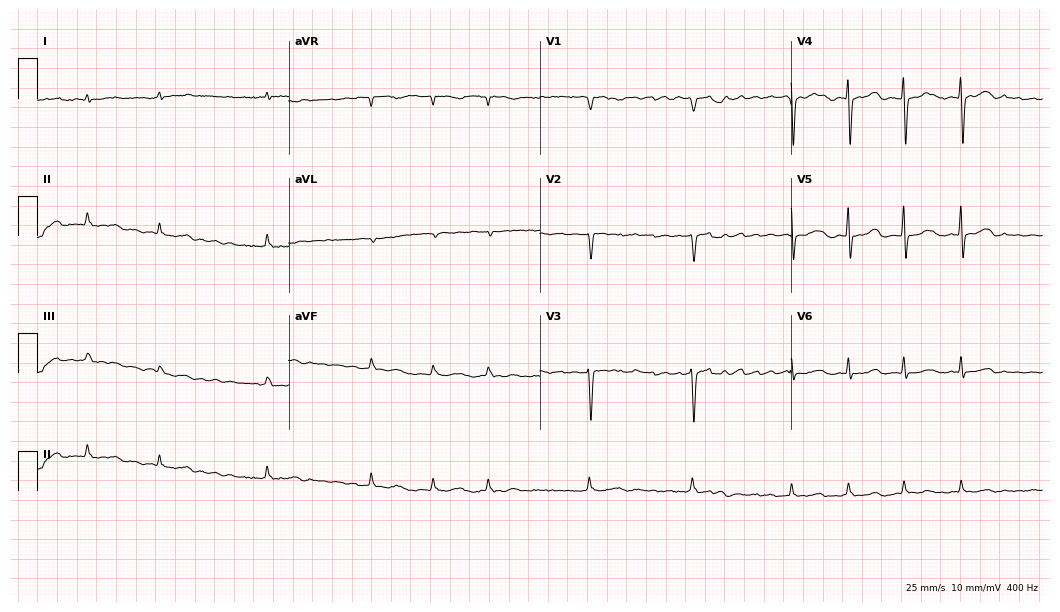
ECG (10.2-second recording at 400 Hz) — a 79-year-old woman. Findings include atrial fibrillation.